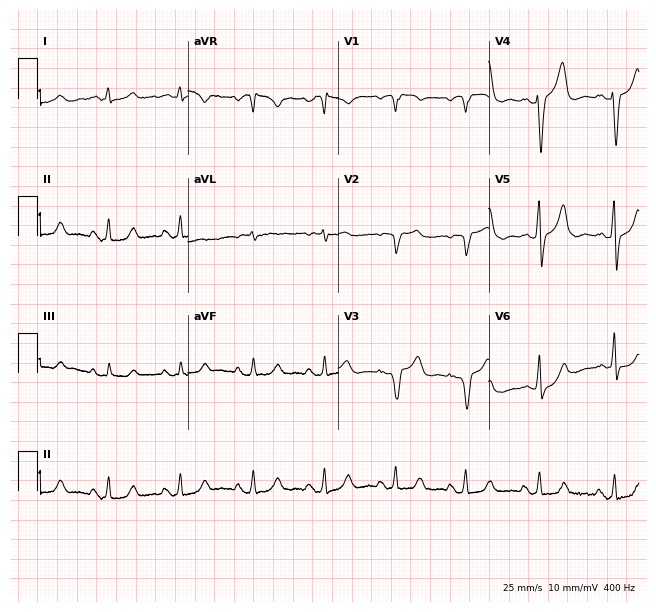
Standard 12-lead ECG recorded from a male, 71 years old. None of these six findings is recorded: first-degree AV block, right bundle branch block (RBBB), left bundle branch block (LBBB), sinus bradycardia, atrial fibrillation (AF), sinus tachycardia. Findings outside these six are not listed.